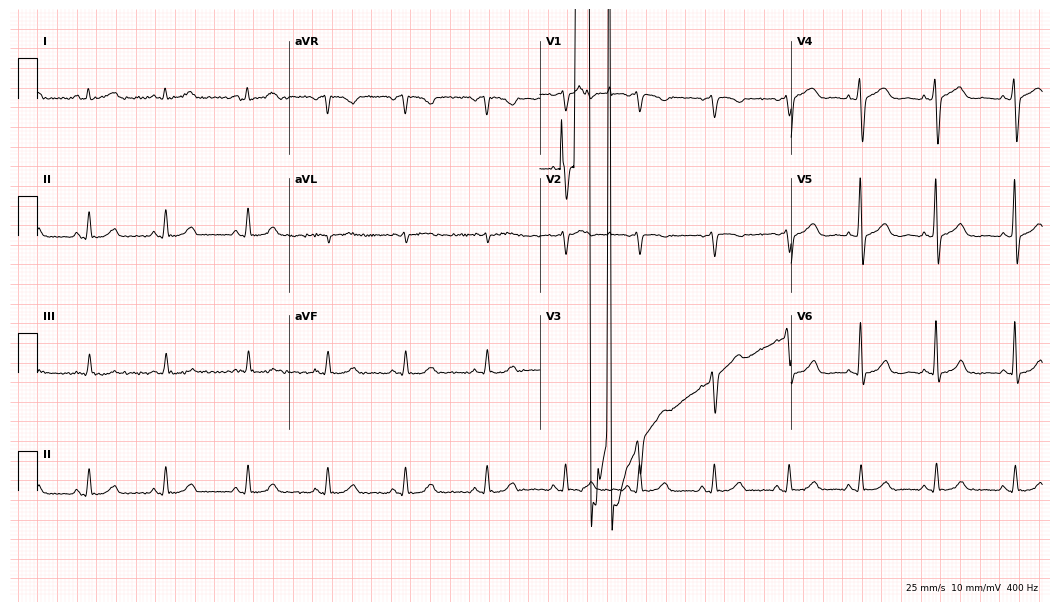
12-lead ECG from a woman, 47 years old. No first-degree AV block, right bundle branch block, left bundle branch block, sinus bradycardia, atrial fibrillation or sinus tachycardia recorded for this tracing.